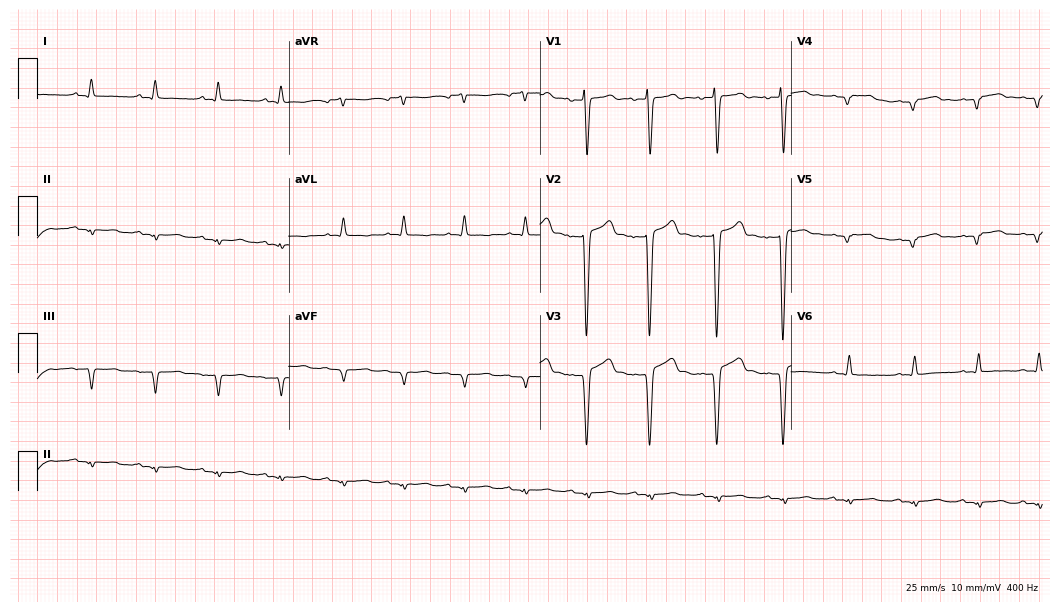
Resting 12-lead electrocardiogram (10.2-second recording at 400 Hz). Patient: an 85-year-old man. None of these six findings is recorded: first-degree AV block, right bundle branch block, left bundle branch block, sinus bradycardia, atrial fibrillation, sinus tachycardia.